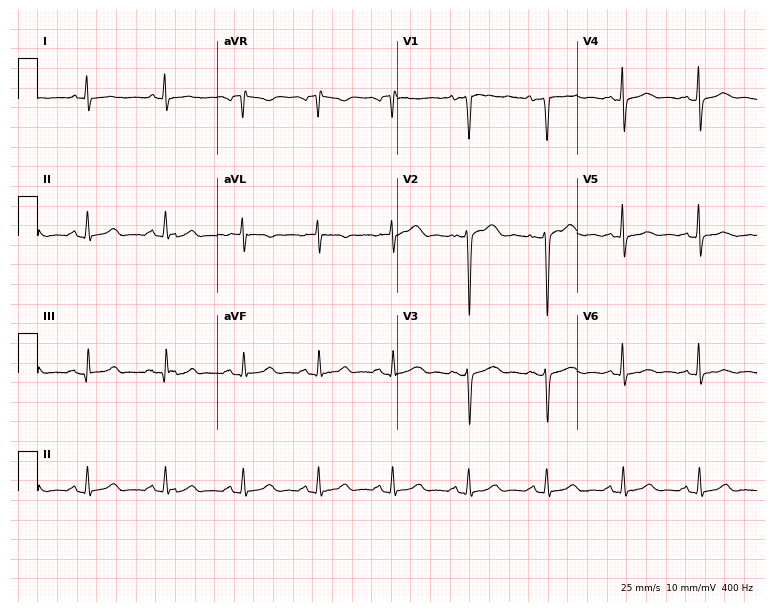
12-lead ECG (7.3-second recording at 400 Hz) from a female patient, 51 years old. Screened for six findings — first-degree AV block, right bundle branch block, left bundle branch block, sinus bradycardia, atrial fibrillation, sinus tachycardia — none is recorded.